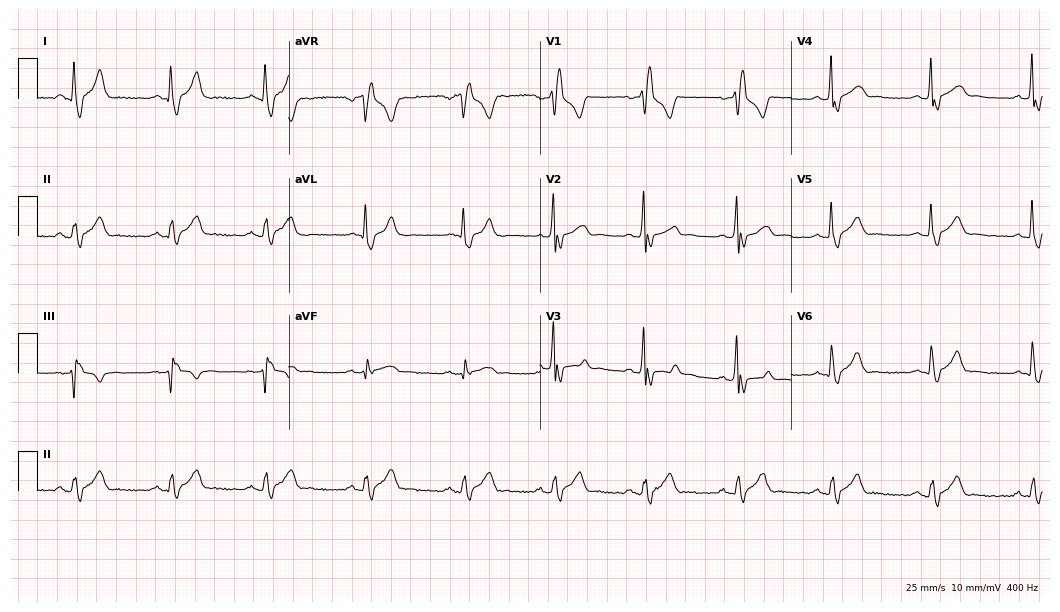
12-lead ECG from a 37-year-old male patient (10.2-second recording at 400 Hz). Shows right bundle branch block.